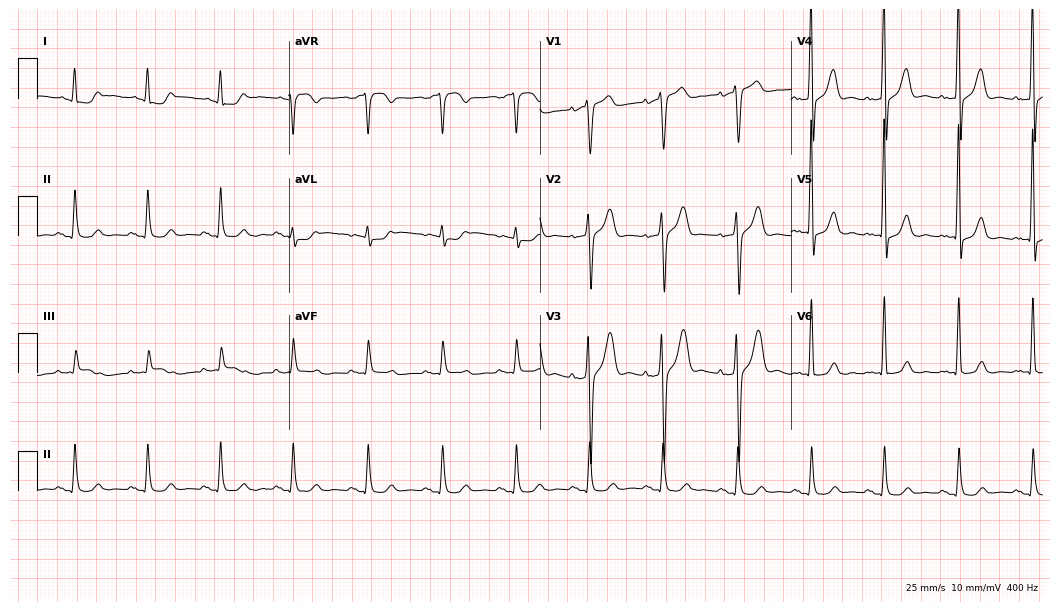
Electrocardiogram, a male patient, 81 years old. Of the six screened findings (first-degree AV block, right bundle branch block (RBBB), left bundle branch block (LBBB), sinus bradycardia, atrial fibrillation (AF), sinus tachycardia), none is recorded.